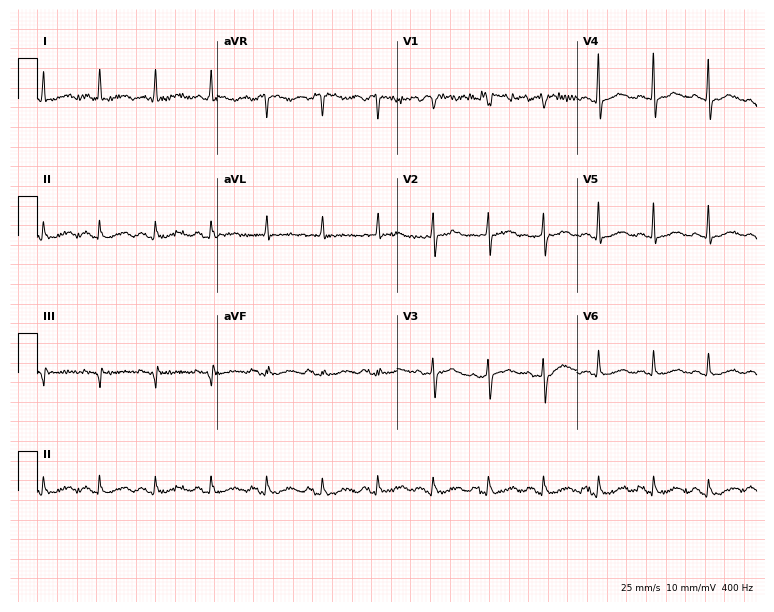
12-lead ECG from a 66-year-old female (7.3-second recording at 400 Hz). Shows sinus tachycardia (a sinus rate of 100 beats per minute or more).